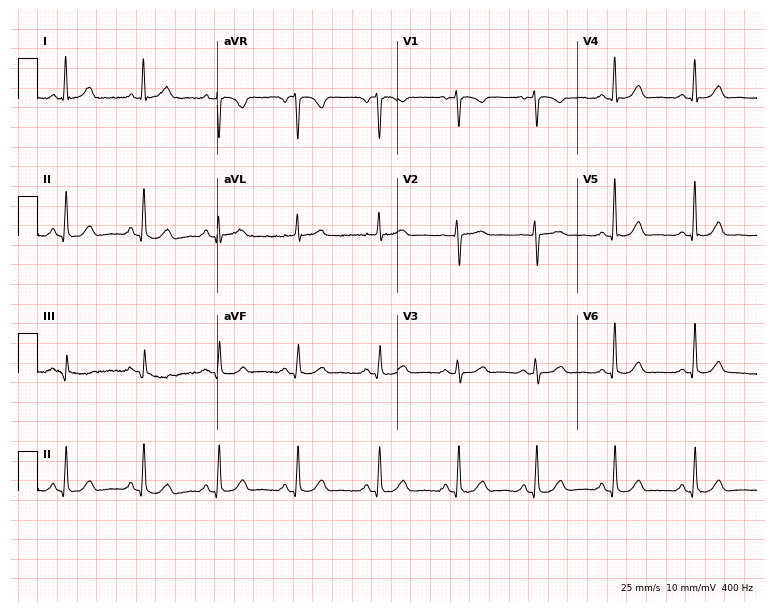
Standard 12-lead ECG recorded from a female, 57 years old. Read as a normal ECG.